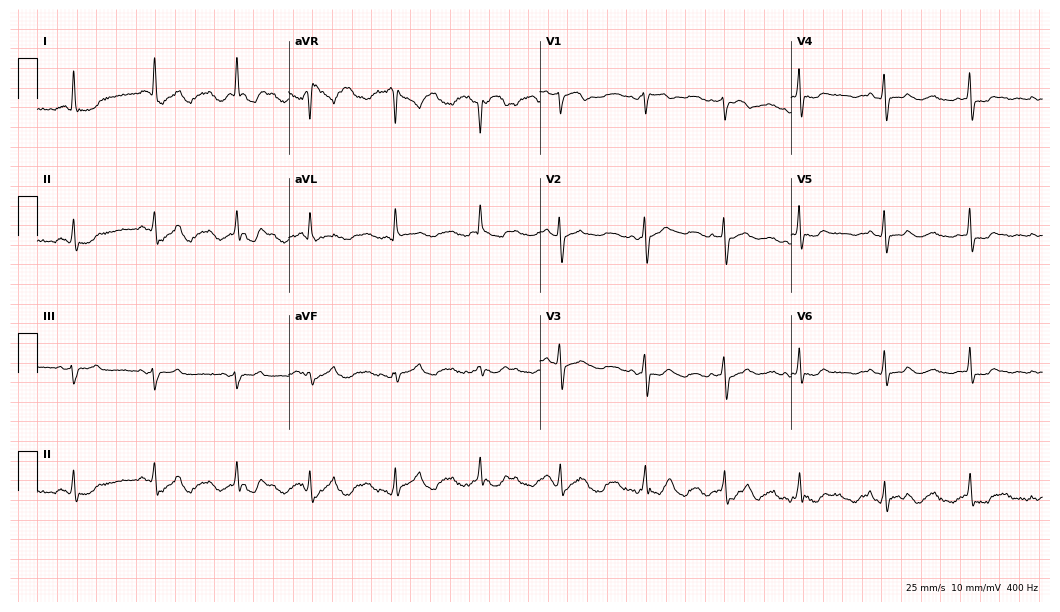
ECG (10.2-second recording at 400 Hz) — a 67-year-old woman. Screened for six findings — first-degree AV block, right bundle branch block, left bundle branch block, sinus bradycardia, atrial fibrillation, sinus tachycardia — none is recorded.